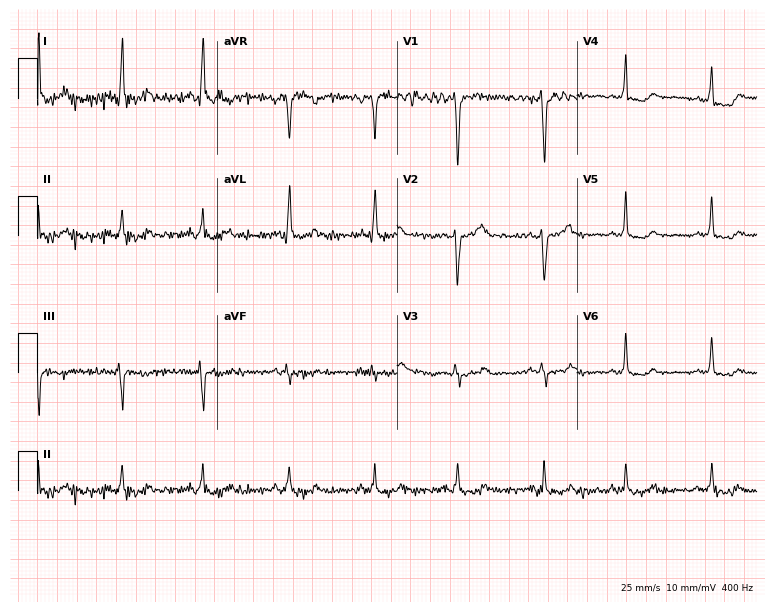
Electrocardiogram (7.3-second recording at 400 Hz), a female patient, 41 years old. Of the six screened findings (first-degree AV block, right bundle branch block, left bundle branch block, sinus bradycardia, atrial fibrillation, sinus tachycardia), none is recorded.